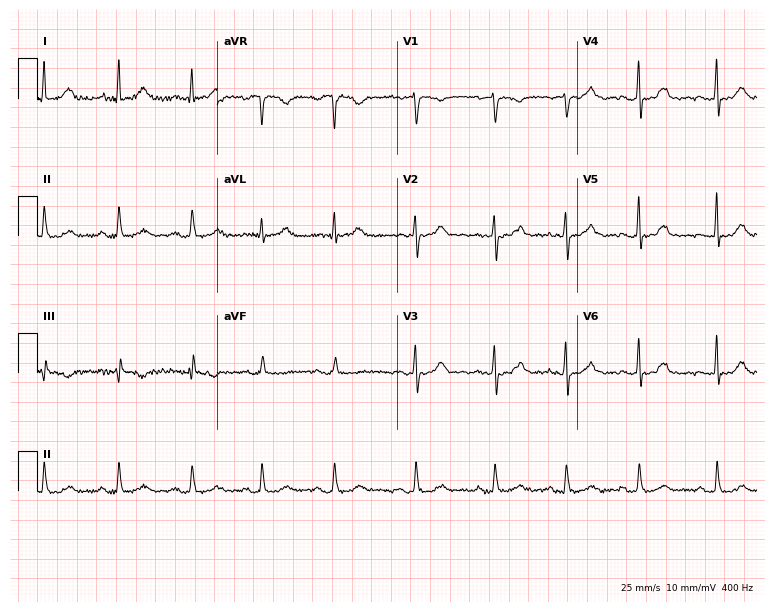
ECG (7.3-second recording at 400 Hz) — a female patient, 52 years old. Labelled as a normal ECG.